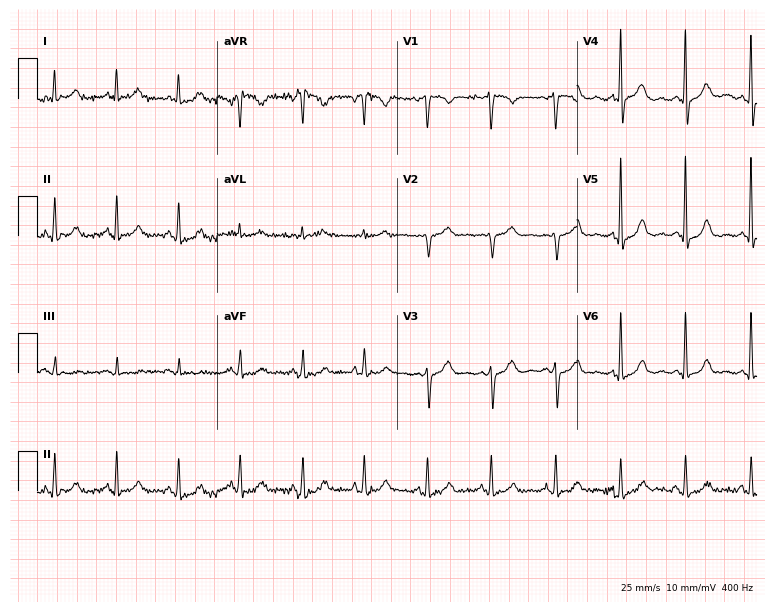
12-lead ECG from a female, 64 years old (7.3-second recording at 400 Hz). No first-degree AV block, right bundle branch block, left bundle branch block, sinus bradycardia, atrial fibrillation or sinus tachycardia recorded for this tracing.